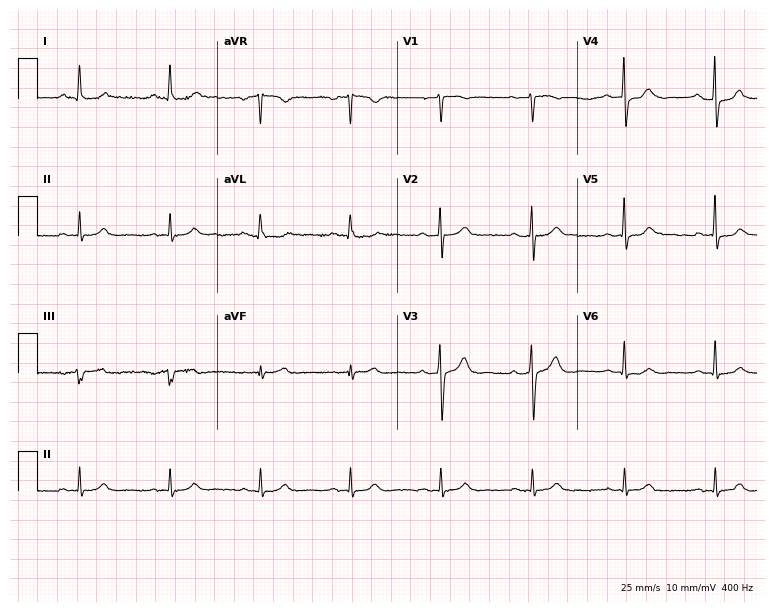
Standard 12-lead ECG recorded from a 64-year-old male (7.3-second recording at 400 Hz). Read as a normal ECG.